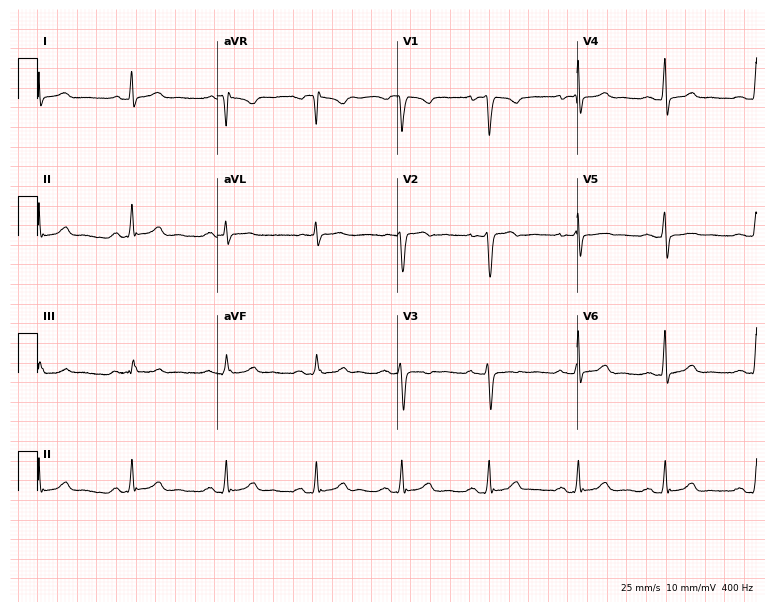
12-lead ECG from a 24-year-old female patient (7.3-second recording at 400 Hz). Recorded interpretation: within normal limits.